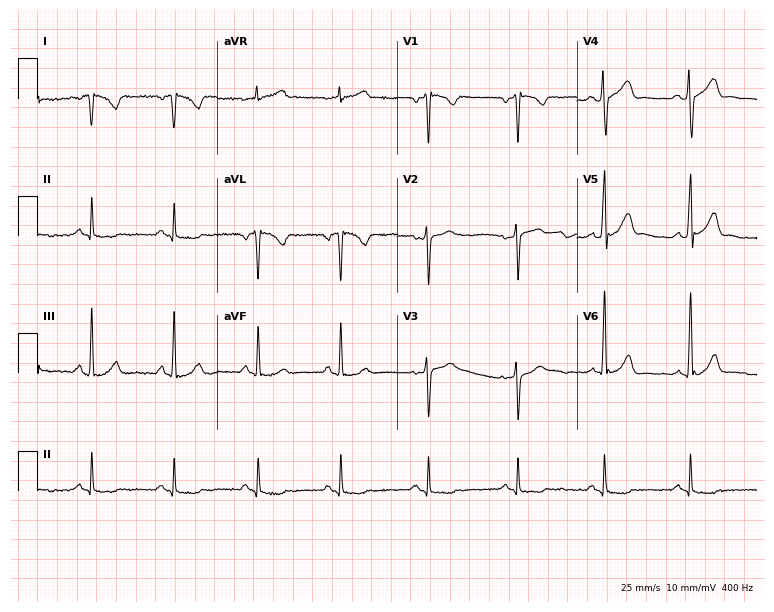
Resting 12-lead electrocardiogram (7.3-second recording at 400 Hz). Patient: a 49-year-old male. None of these six findings is recorded: first-degree AV block, right bundle branch block, left bundle branch block, sinus bradycardia, atrial fibrillation, sinus tachycardia. Findings outside these six are not listed.